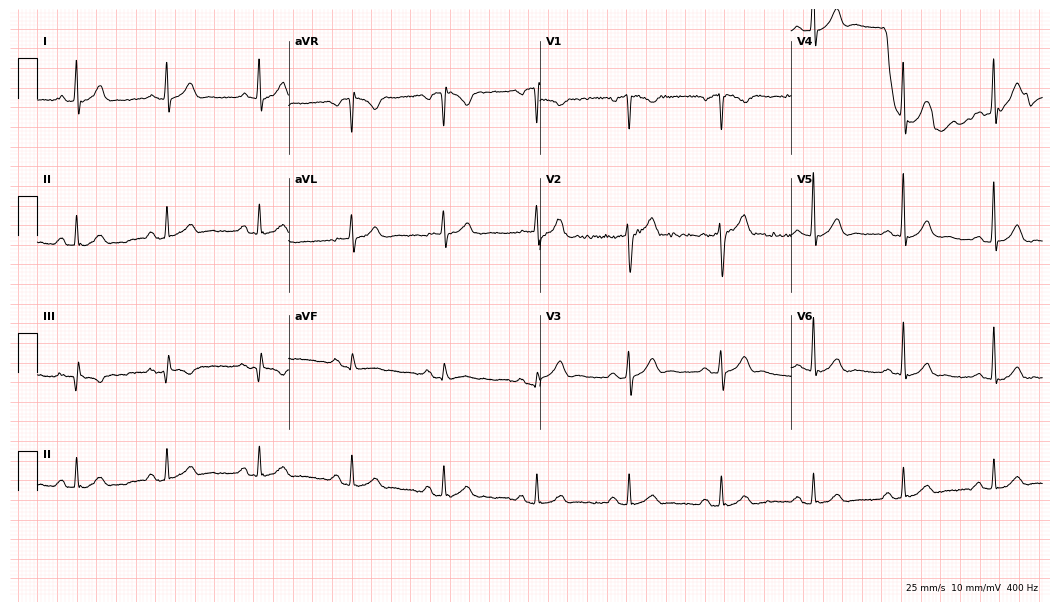
Standard 12-lead ECG recorded from a man, 48 years old (10.2-second recording at 400 Hz). Read as a normal ECG.